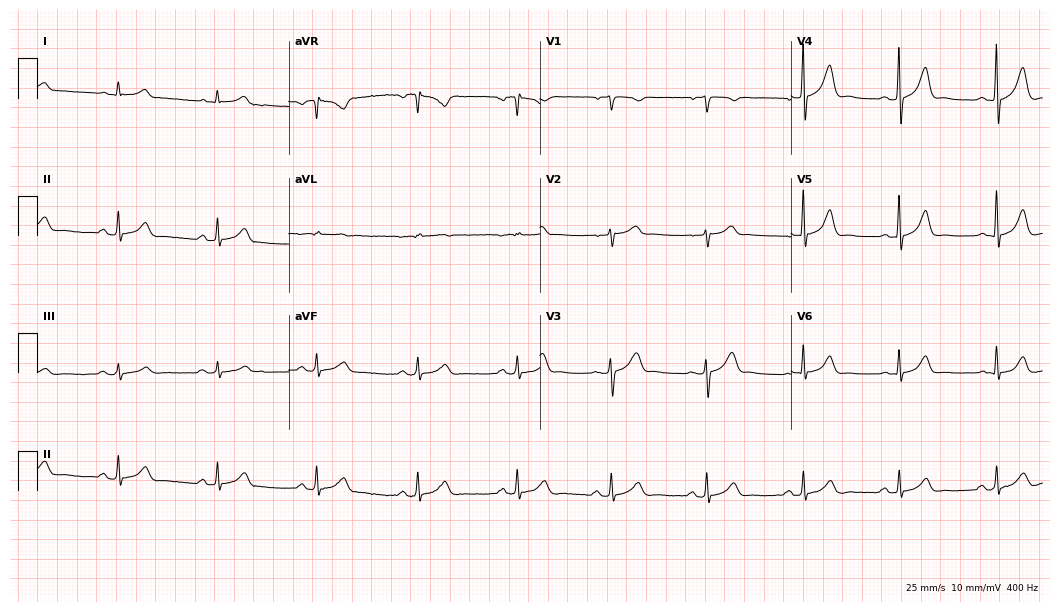
Resting 12-lead electrocardiogram (10.2-second recording at 400 Hz). Patient: a 61-year-old male. Read as a normal ECG.